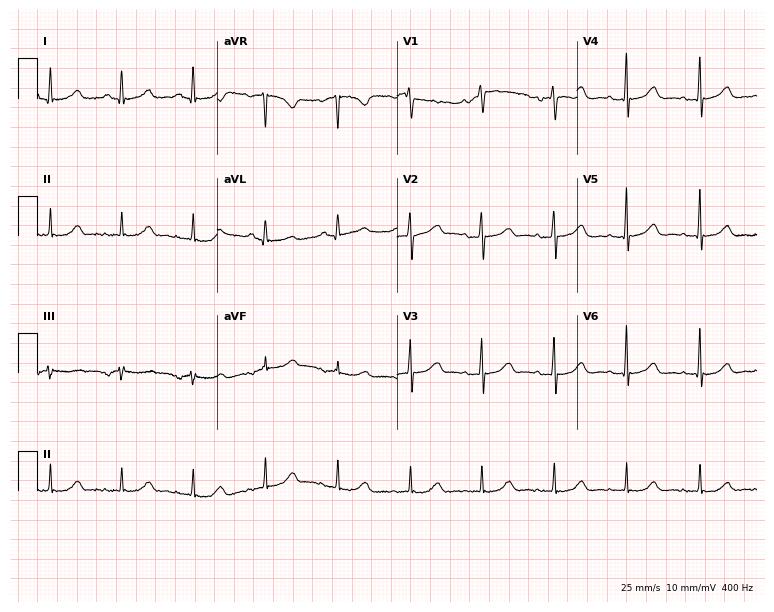
Standard 12-lead ECG recorded from a female, 77 years old. Read as a normal ECG.